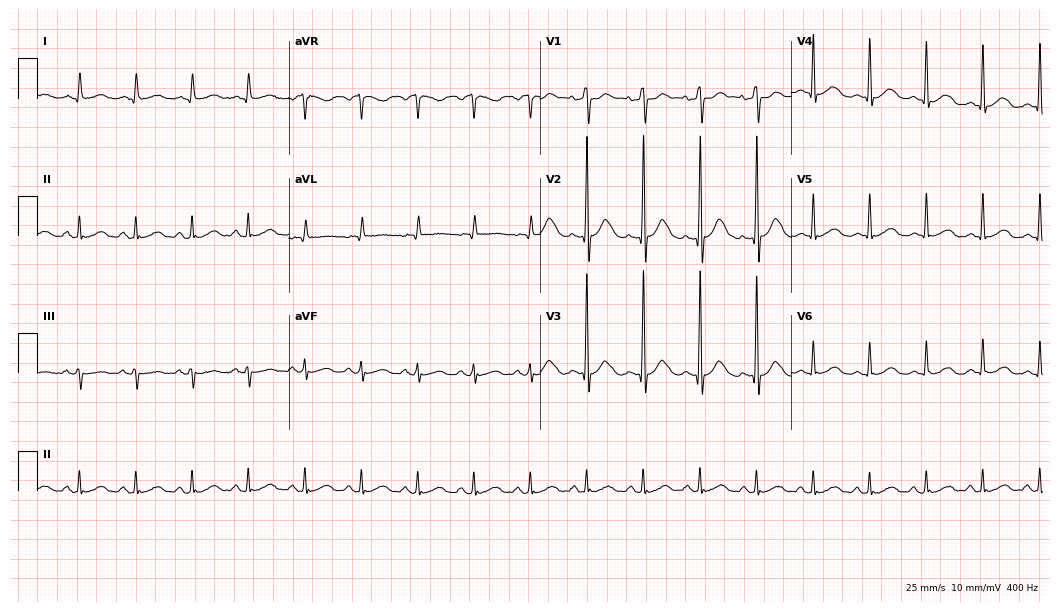
12-lead ECG from an 83-year-old female. Shows sinus tachycardia (a sinus rate of 100 beats per minute or more).